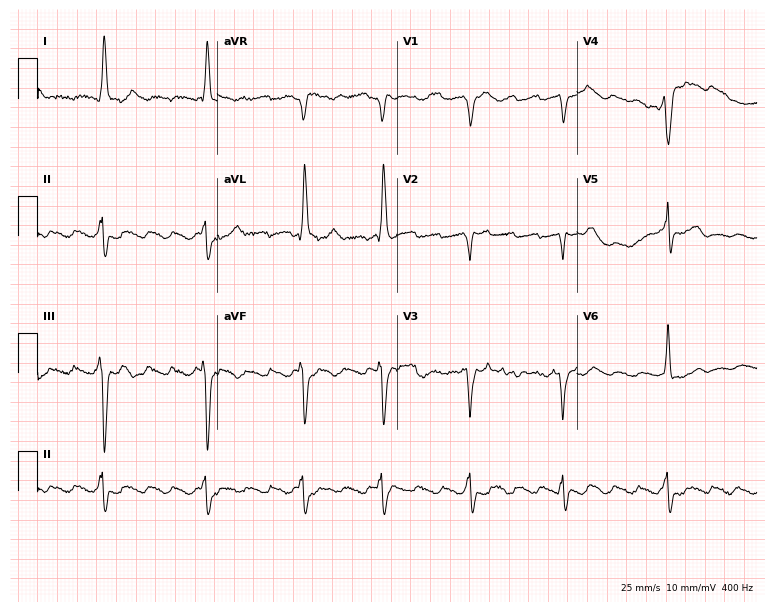
Electrocardiogram (7.3-second recording at 400 Hz), a female patient, 85 years old. Of the six screened findings (first-degree AV block, right bundle branch block (RBBB), left bundle branch block (LBBB), sinus bradycardia, atrial fibrillation (AF), sinus tachycardia), none is recorded.